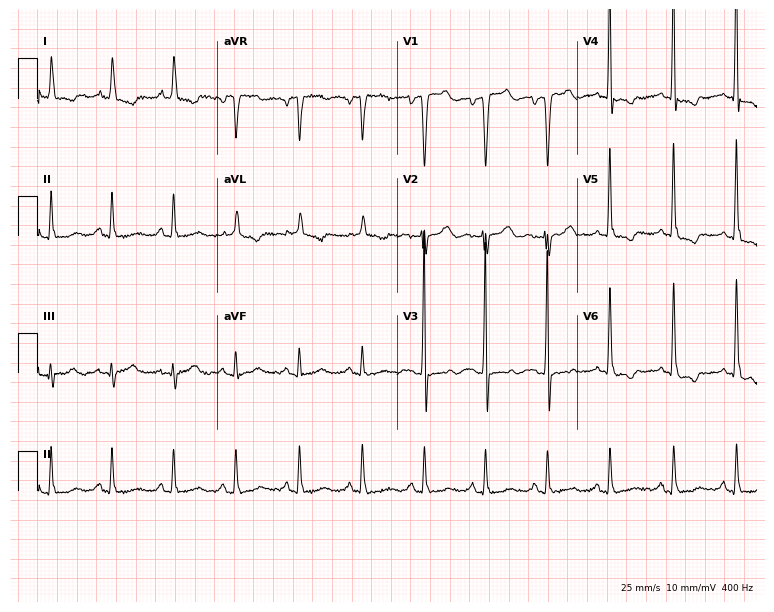
Resting 12-lead electrocardiogram (7.3-second recording at 400 Hz). Patient: a female, 63 years old. None of these six findings is recorded: first-degree AV block, right bundle branch block (RBBB), left bundle branch block (LBBB), sinus bradycardia, atrial fibrillation (AF), sinus tachycardia. Only these six findings were labelled.